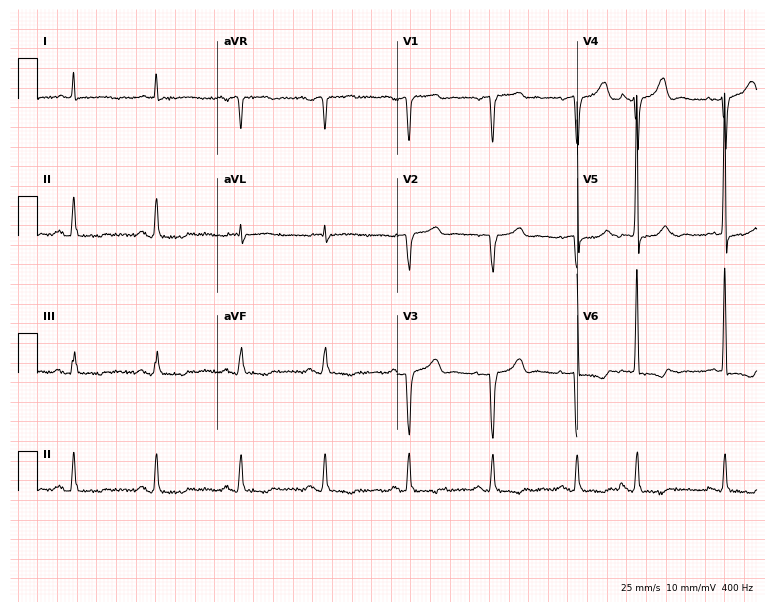
Standard 12-lead ECG recorded from a 77-year-old female. None of these six findings is recorded: first-degree AV block, right bundle branch block (RBBB), left bundle branch block (LBBB), sinus bradycardia, atrial fibrillation (AF), sinus tachycardia. Other findings, if any, are not listed.